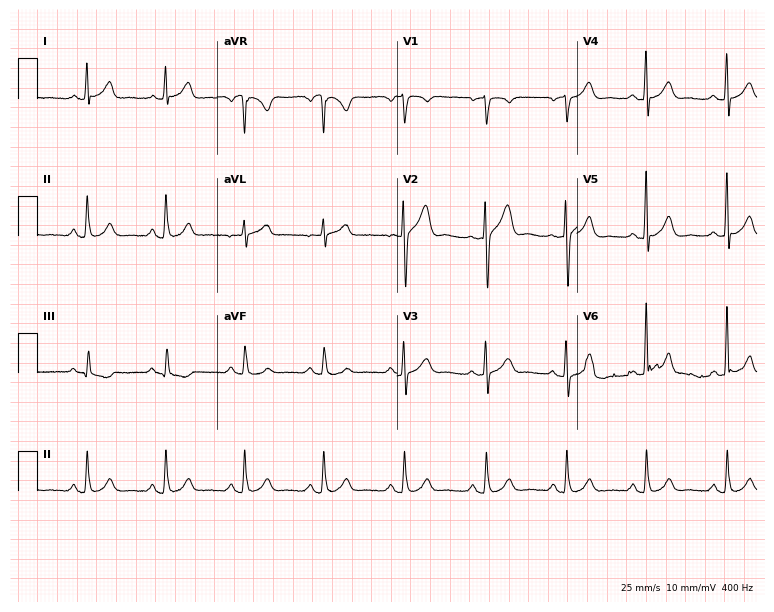
12-lead ECG from a man, 50 years old. No first-degree AV block, right bundle branch block (RBBB), left bundle branch block (LBBB), sinus bradycardia, atrial fibrillation (AF) or sinus tachycardia recorded for this tracing.